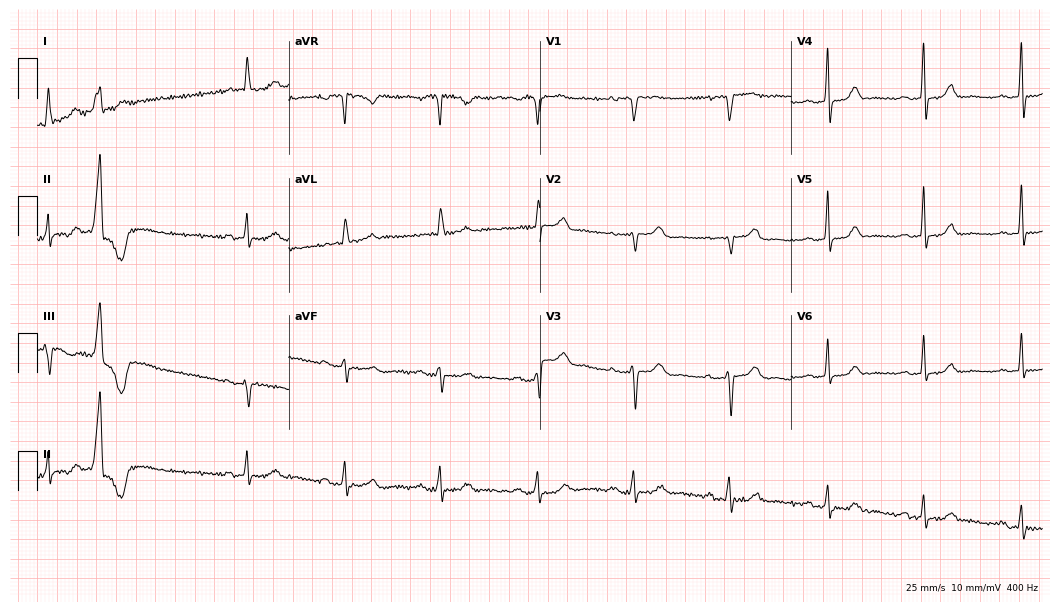
Resting 12-lead electrocardiogram. Patient: a woman, 71 years old. None of these six findings is recorded: first-degree AV block, right bundle branch block, left bundle branch block, sinus bradycardia, atrial fibrillation, sinus tachycardia.